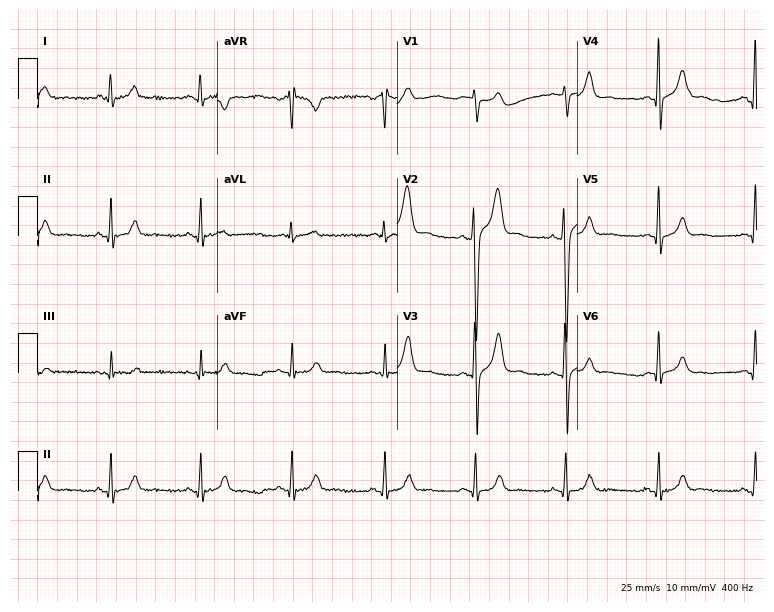
Electrocardiogram (7.3-second recording at 400 Hz), a 29-year-old male patient. Of the six screened findings (first-degree AV block, right bundle branch block (RBBB), left bundle branch block (LBBB), sinus bradycardia, atrial fibrillation (AF), sinus tachycardia), none is recorded. Only these six findings were labelled.